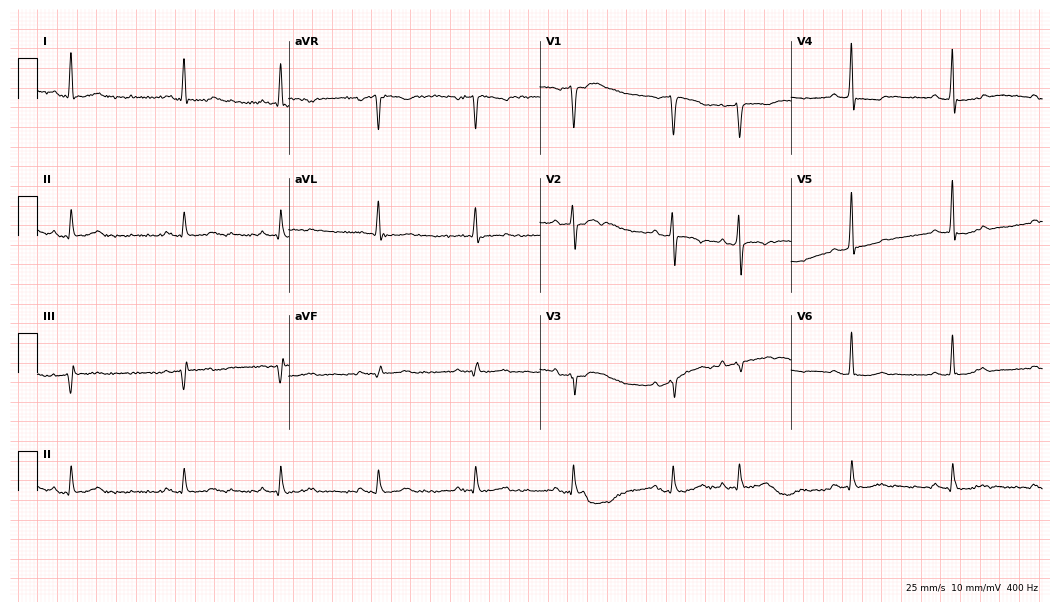
Standard 12-lead ECG recorded from a male, 67 years old (10.2-second recording at 400 Hz). None of these six findings is recorded: first-degree AV block, right bundle branch block, left bundle branch block, sinus bradycardia, atrial fibrillation, sinus tachycardia. Only these six findings were labelled.